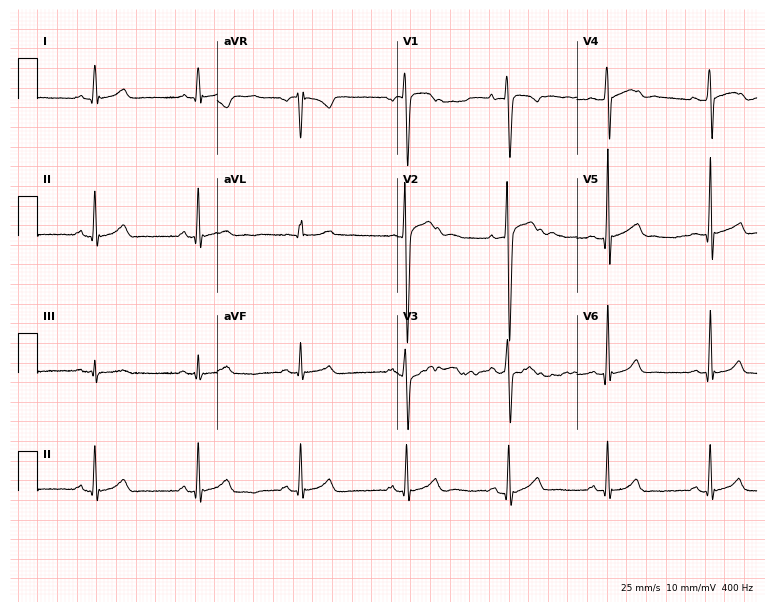
12-lead ECG from a woman, 20 years old. Recorded interpretation: within normal limits.